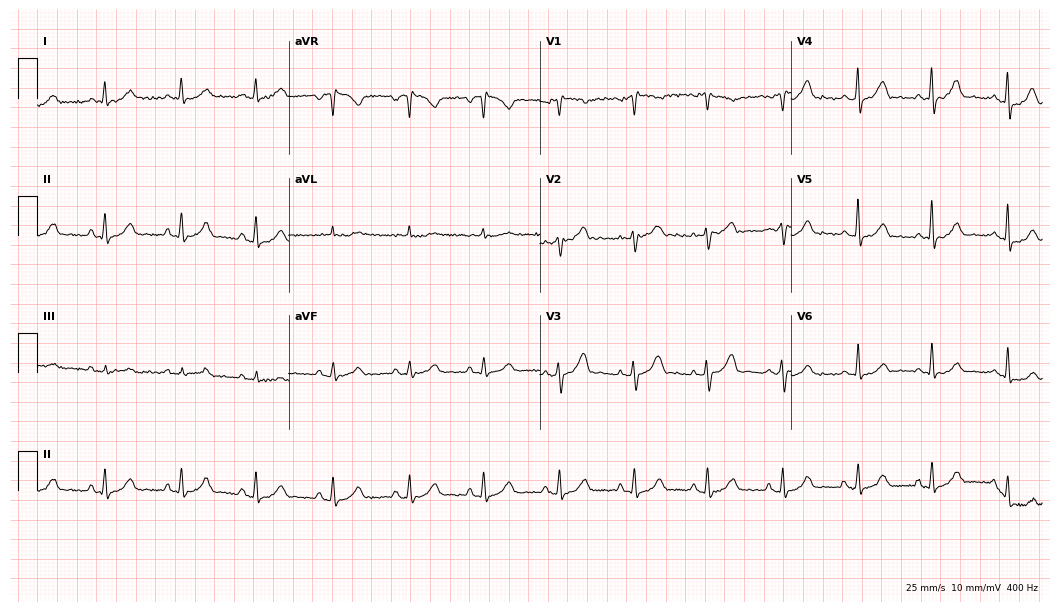
ECG — a woman, 58 years old. Screened for six findings — first-degree AV block, right bundle branch block, left bundle branch block, sinus bradycardia, atrial fibrillation, sinus tachycardia — none is recorded. Other findings, if any, are not listed.